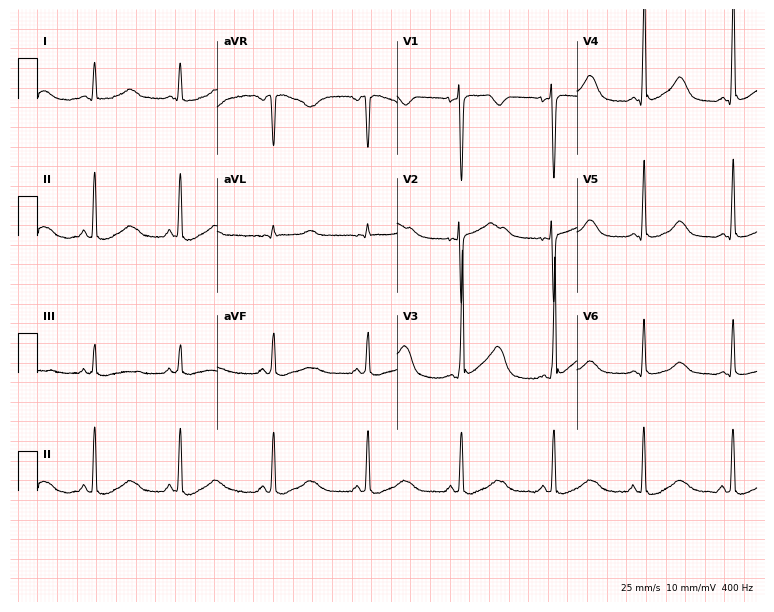
Electrocardiogram (7.3-second recording at 400 Hz), a 26-year-old male. Of the six screened findings (first-degree AV block, right bundle branch block (RBBB), left bundle branch block (LBBB), sinus bradycardia, atrial fibrillation (AF), sinus tachycardia), none is recorded. Only these six findings were labelled.